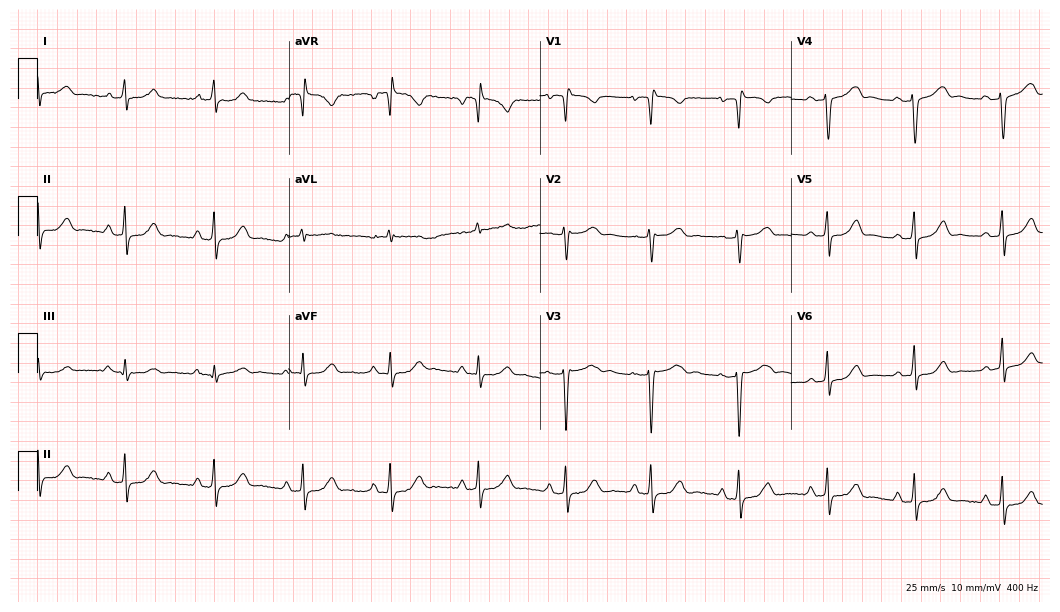
12-lead ECG from a female patient, 44 years old. Screened for six findings — first-degree AV block, right bundle branch block, left bundle branch block, sinus bradycardia, atrial fibrillation, sinus tachycardia — none is recorded. Findings outside these six are not listed.